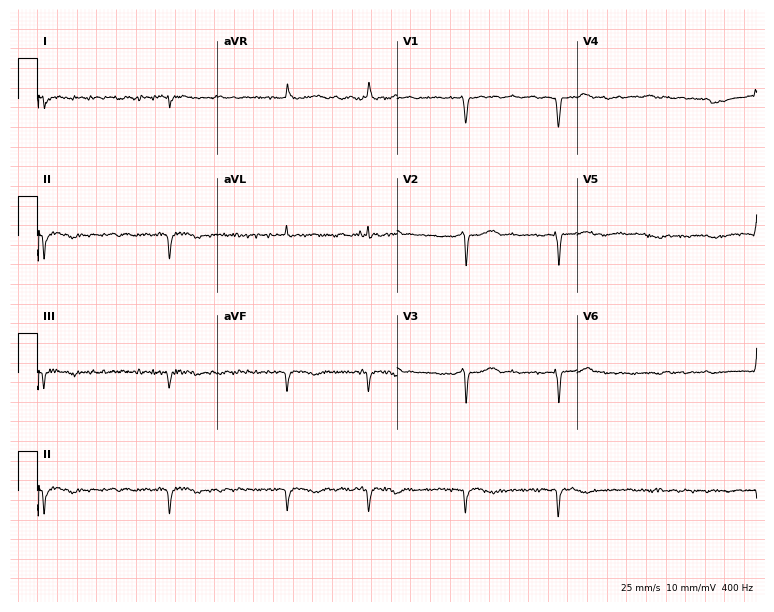
12-lead ECG from a 67-year-old male patient. Findings include atrial fibrillation.